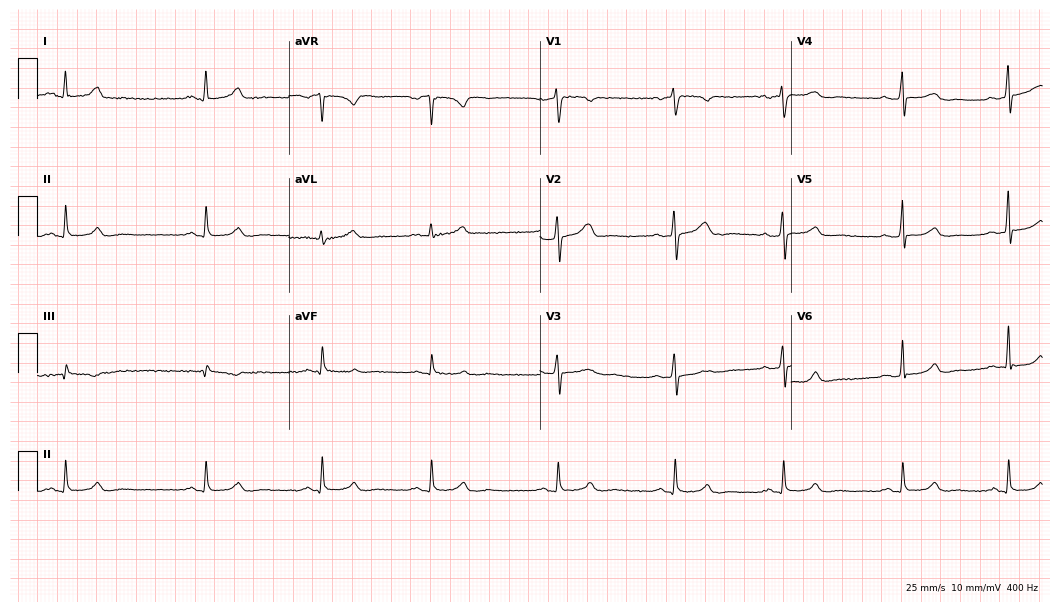
Resting 12-lead electrocardiogram. Patient: a 53-year-old female. None of these six findings is recorded: first-degree AV block, right bundle branch block, left bundle branch block, sinus bradycardia, atrial fibrillation, sinus tachycardia.